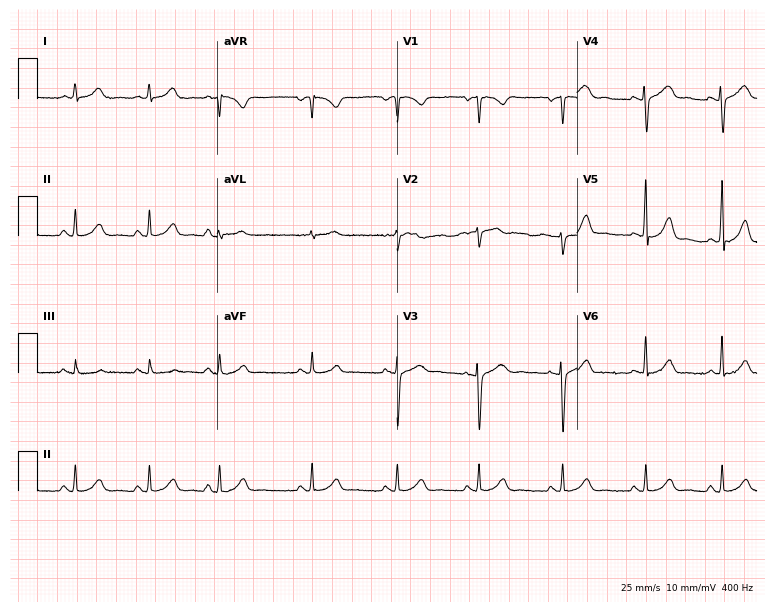
ECG (7.3-second recording at 400 Hz) — a woman, 28 years old. Labelled as a normal ECG.